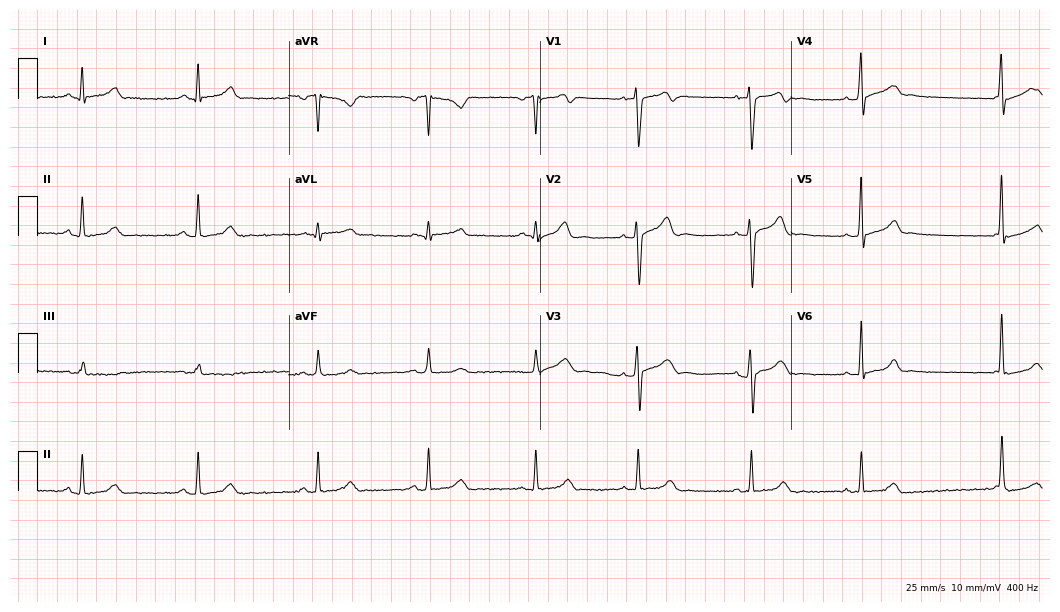
Electrocardiogram, a male, 30 years old. Overall reading on record: normal ECG.